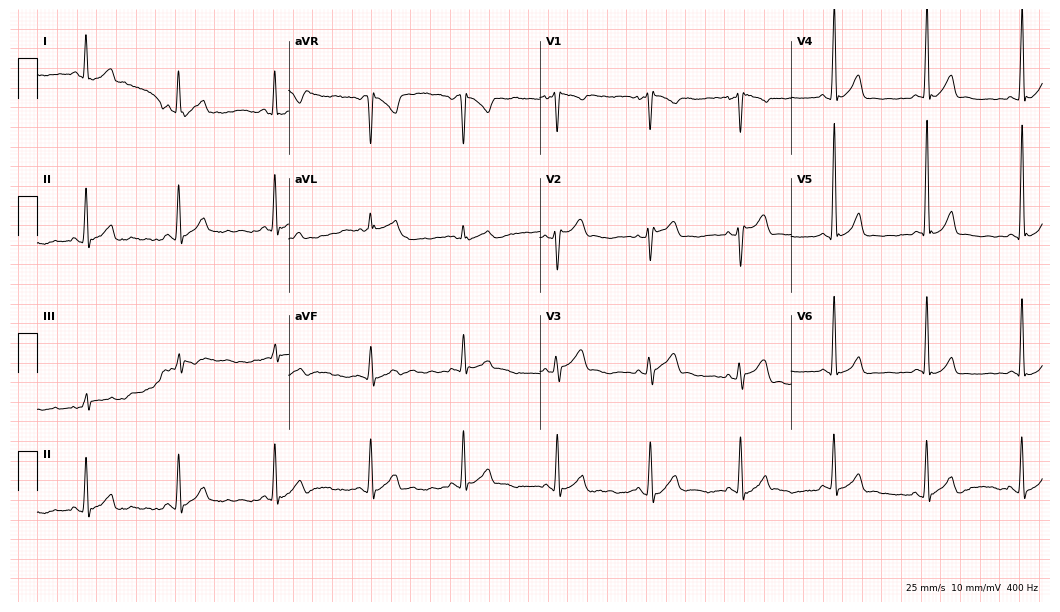
Electrocardiogram (10.2-second recording at 400 Hz), a male patient, 28 years old. Of the six screened findings (first-degree AV block, right bundle branch block (RBBB), left bundle branch block (LBBB), sinus bradycardia, atrial fibrillation (AF), sinus tachycardia), none is recorded. Findings outside these six are not listed.